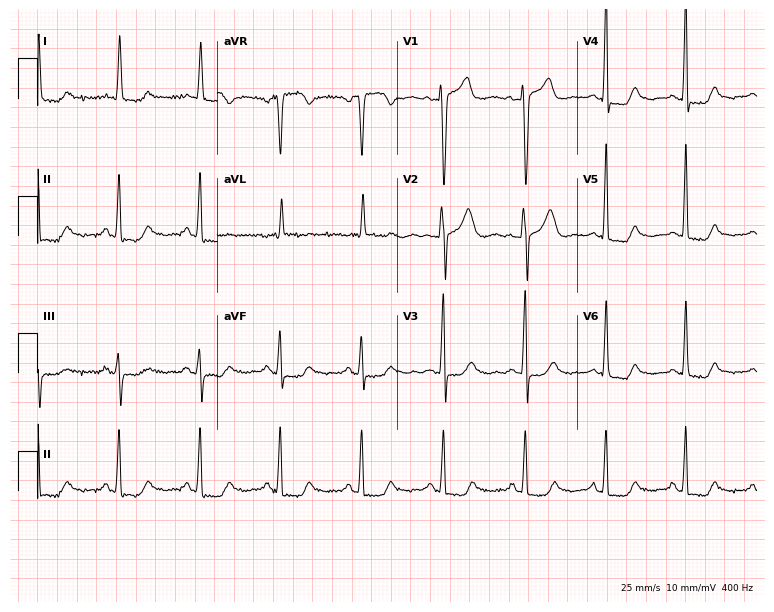
Electrocardiogram, a 36-year-old female patient. Of the six screened findings (first-degree AV block, right bundle branch block, left bundle branch block, sinus bradycardia, atrial fibrillation, sinus tachycardia), none is recorded. Other findings, if any, are not listed.